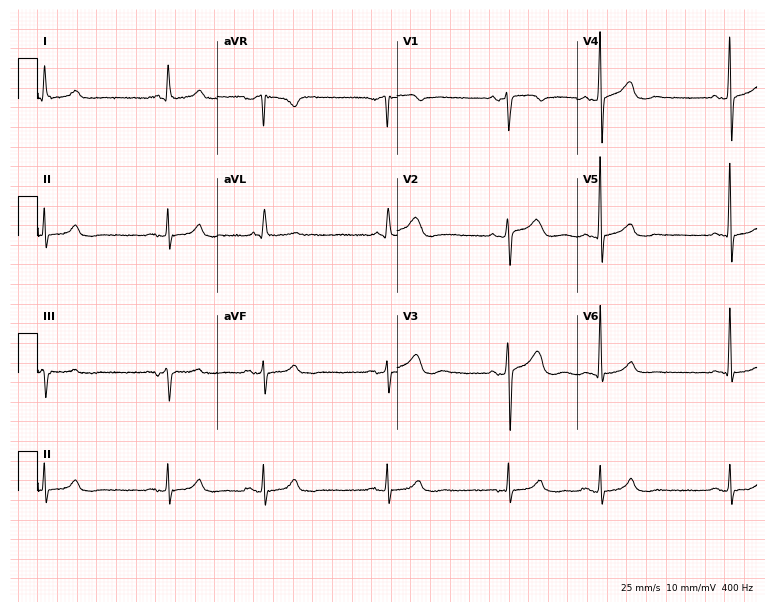
12-lead ECG from a 68-year-old man. Recorded interpretation: within normal limits.